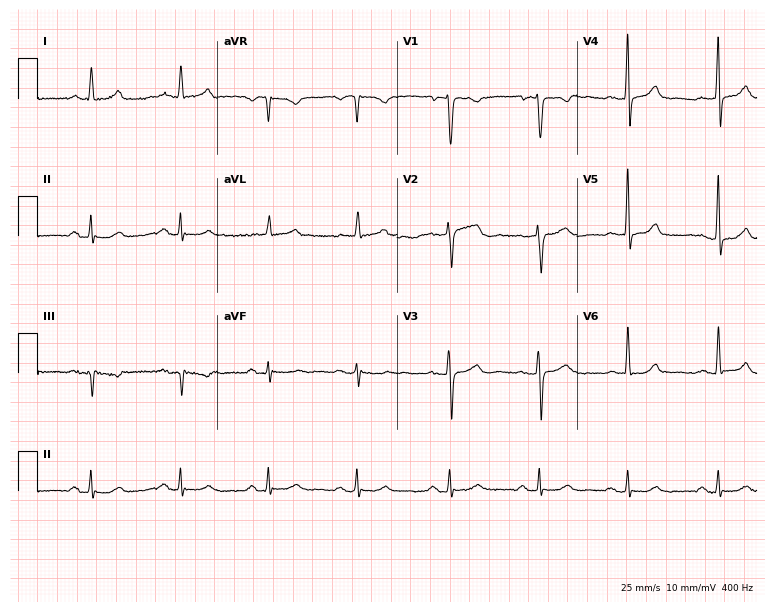
12-lead ECG from a woman, 66 years old. No first-degree AV block, right bundle branch block (RBBB), left bundle branch block (LBBB), sinus bradycardia, atrial fibrillation (AF) or sinus tachycardia recorded for this tracing. Findings outside these six are not listed.